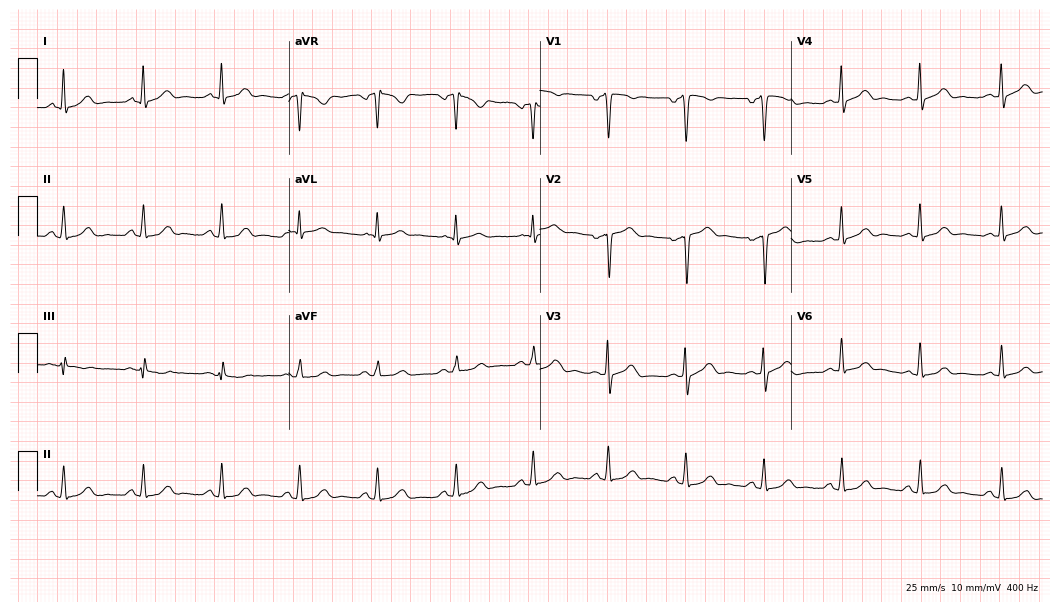
12-lead ECG from a male, 56 years old. Recorded interpretation: within normal limits.